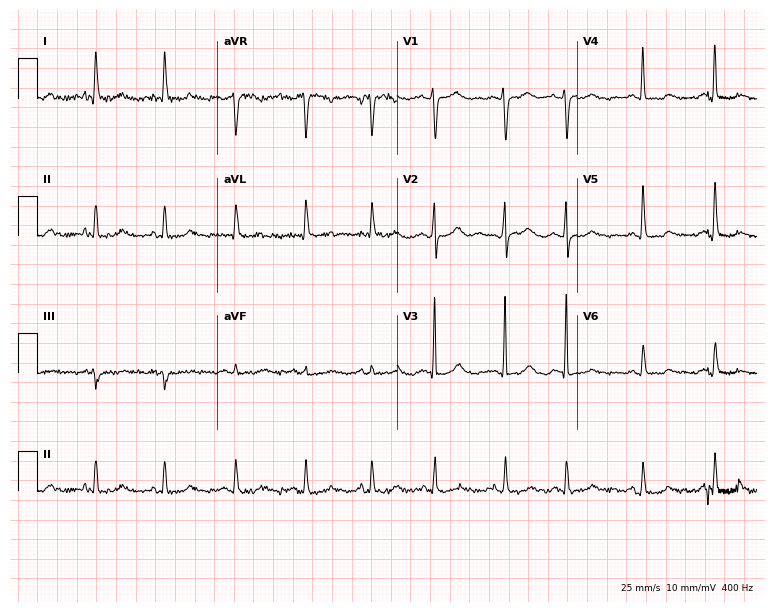
Standard 12-lead ECG recorded from a 75-year-old female patient (7.3-second recording at 400 Hz). None of these six findings is recorded: first-degree AV block, right bundle branch block (RBBB), left bundle branch block (LBBB), sinus bradycardia, atrial fibrillation (AF), sinus tachycardia. Only these six findings were labelled.